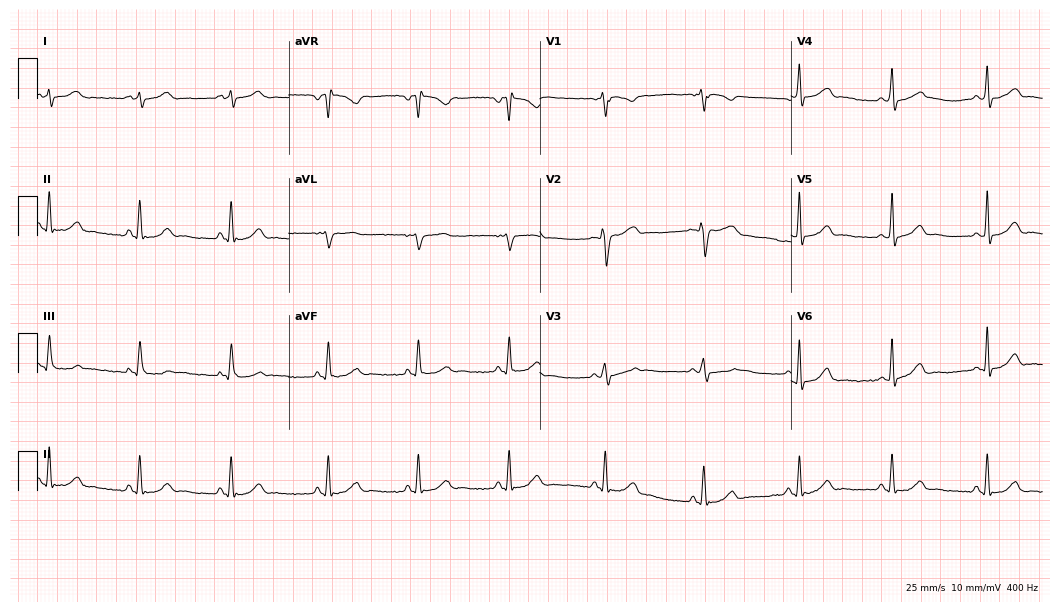
Resting 12-lead electrocardiogram (10.2-second recording at 400 Hz). Patient: a female, 22 years old. None of these six findings is recorded: first-degree AV block, right bundle branch block, left bundle branch block, sinus bradycardia, atrial fibrillation, sinus tachycardia. Only these six findings were labelled.